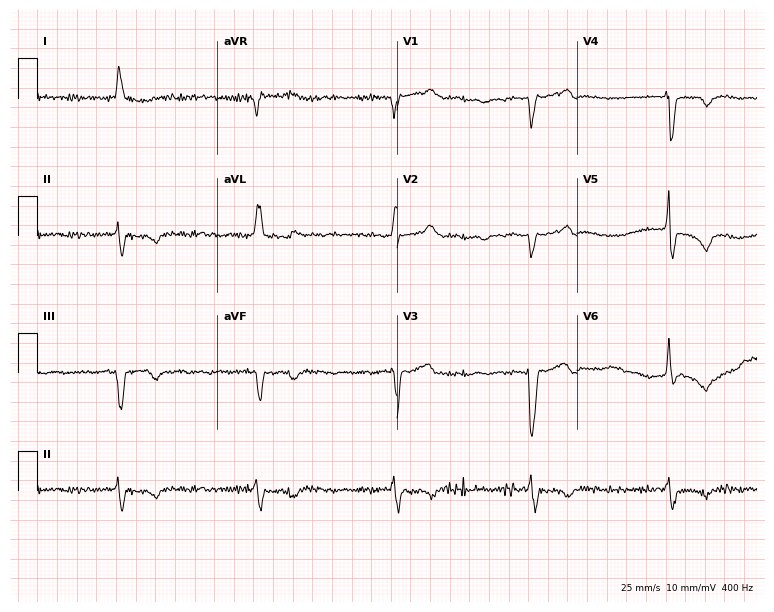
Standard 12-lead ECG recorded from an 86-year-old woman (7.3-second recording at 400 Hz). The tracing shows atrial fibrillation.